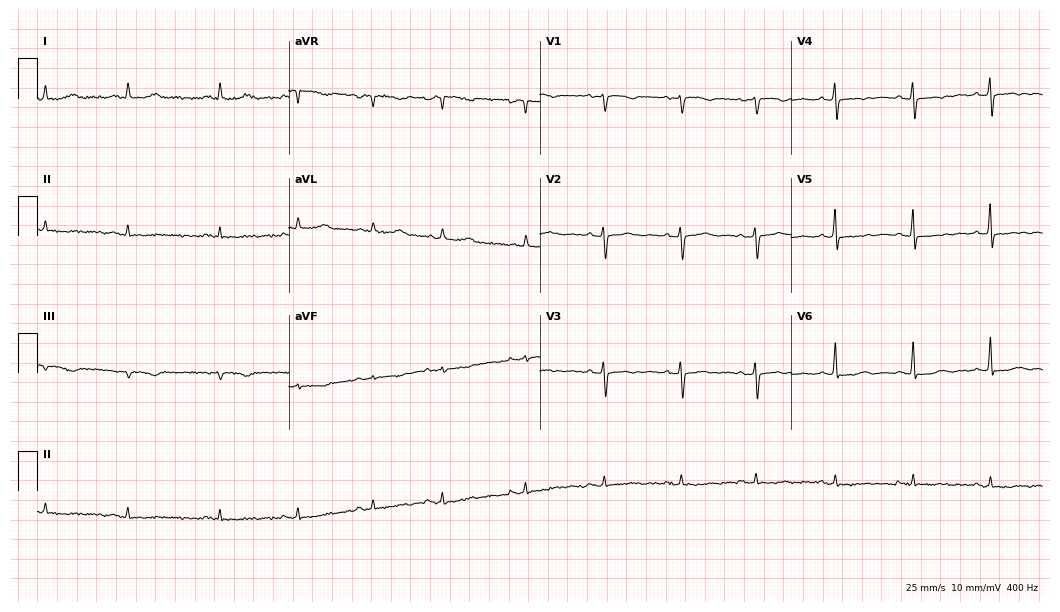
12-lead ECG from a female patient, 76 years old. No first-degree AV block, right bundle branch block, left bundle branch block, sinus bradycardia, atrial fibrillation or sinus tachycardia recorded for this tracing. Findings outside these six are not listed.